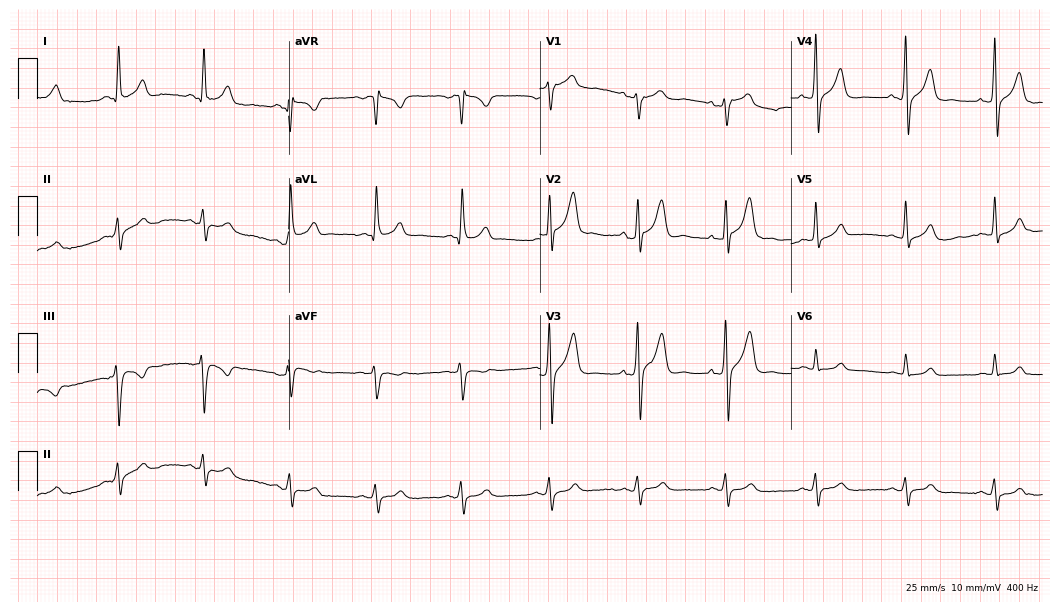
12-lead ECG from a male, 56 years old. Screened for six findings — first-degree AV block, right bundle branch block (RBBB), left bundle branch block (LBBB), sinus bradycardia, atrial fibrillation (AF), sinus tachycardia — none is recorded.